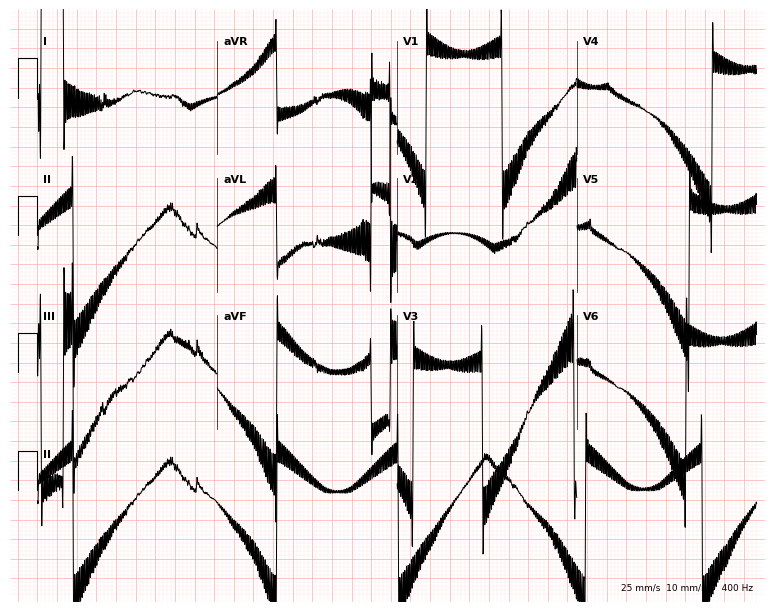
Standard 12-lead ECG recorded from a 41-year-old female patient (7.3-second recording at 400 Hz). None of these six findings is recorded: first-degree AV block, right bundle branch block (RBBB), left bundle branch block (LBBB), sinus bradycardia, atrial fibrillation (AF), sinus tachycardia.